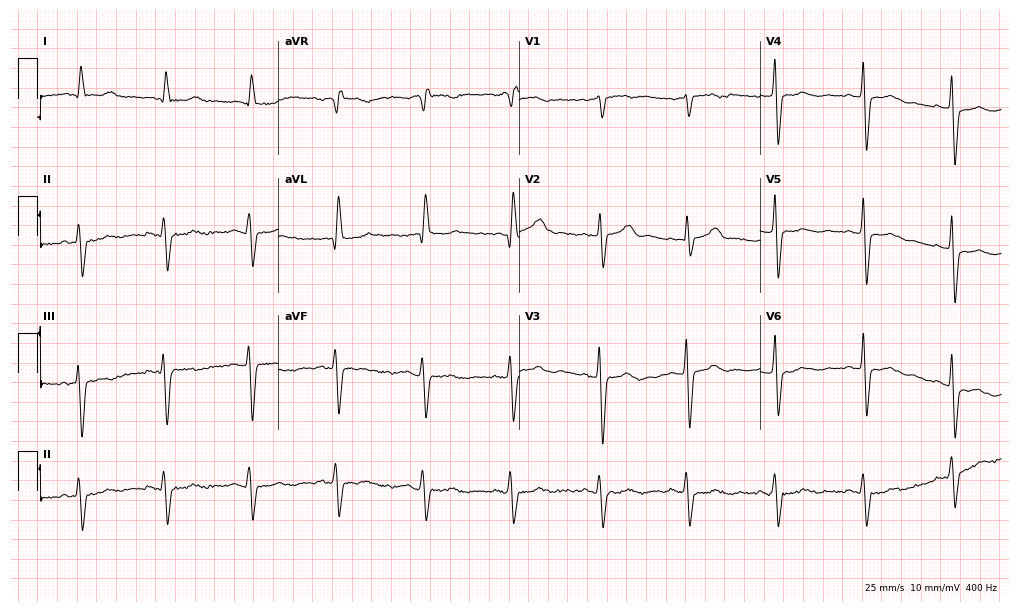
Standard 12-lead ECG recorded from a male patient, 77 years old. The tracing shows left bundle branch block.